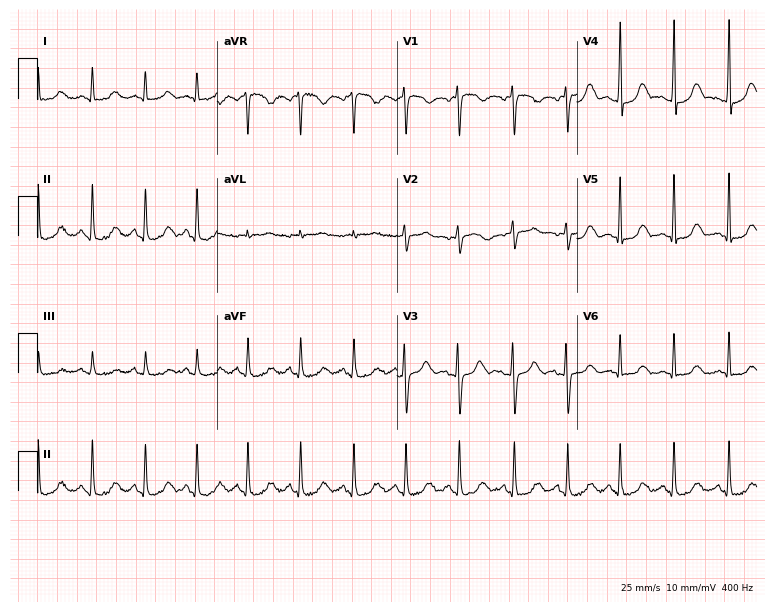
Standard 12-lead ECG recorded from a 29-year-old female patient. The tracing shows sinus tachycardia (a sinus rate of 100 beats per minute or more).